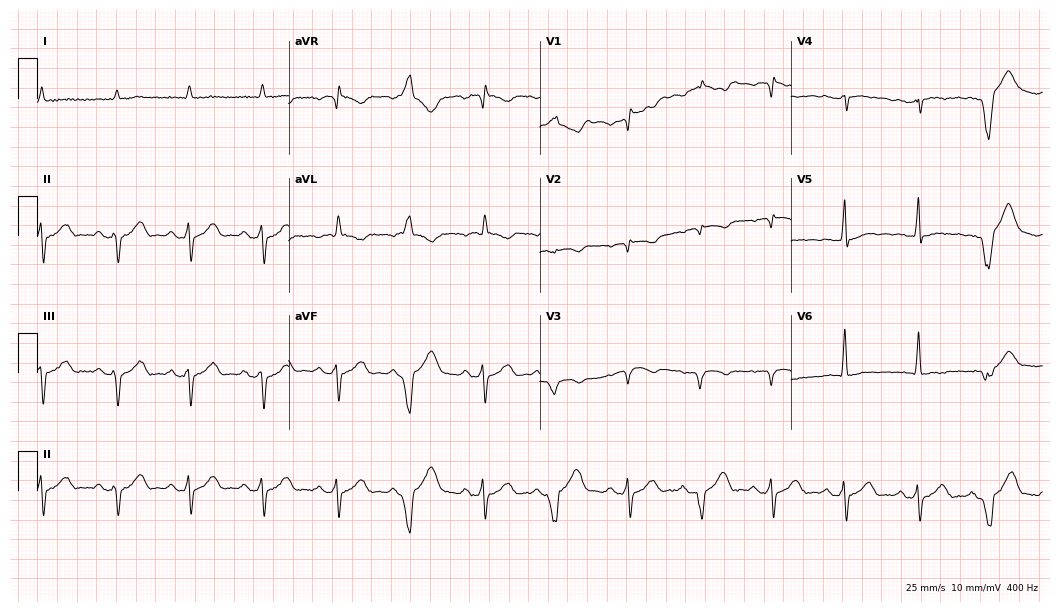
Resting 12-lead electrocardiogram (10.2-second recording at 400 Hz). Patient: a 74-year-old man. None of these six findings is recorded: first-degree AV block, right bundle branch block, left bundle branch block, sinus bradycardia, atrial fibrillation, sinus tachycardia.